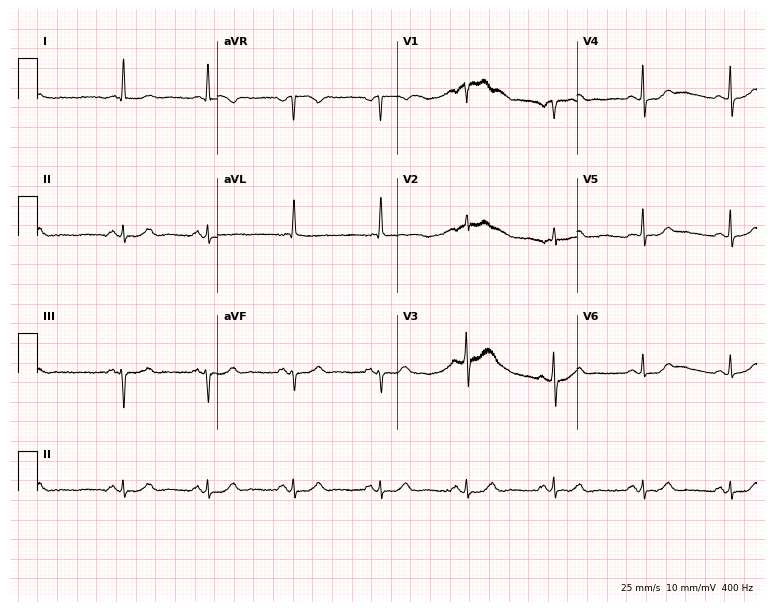
12-lead ECG from an 84-year-old female. Screened for six findings — first-degree AV block, right bundle branch block, left bundle branch block, sinus bradycardia, atrial fibrillation, sinus tachycardia — none is recorded.